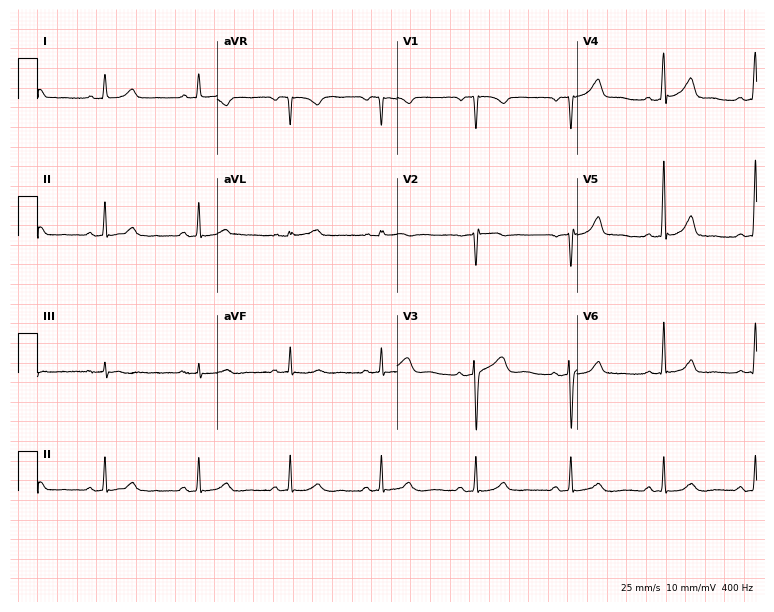
12-lead ECG from a 46-year-old woman. Screened for six findings — first-degree AV block, right bundle branch block (RBBB), left bundle branch block (LBBB), sinus bradycardia, atrial fibrillation (AF), sinus tachycardia — none is recorded.